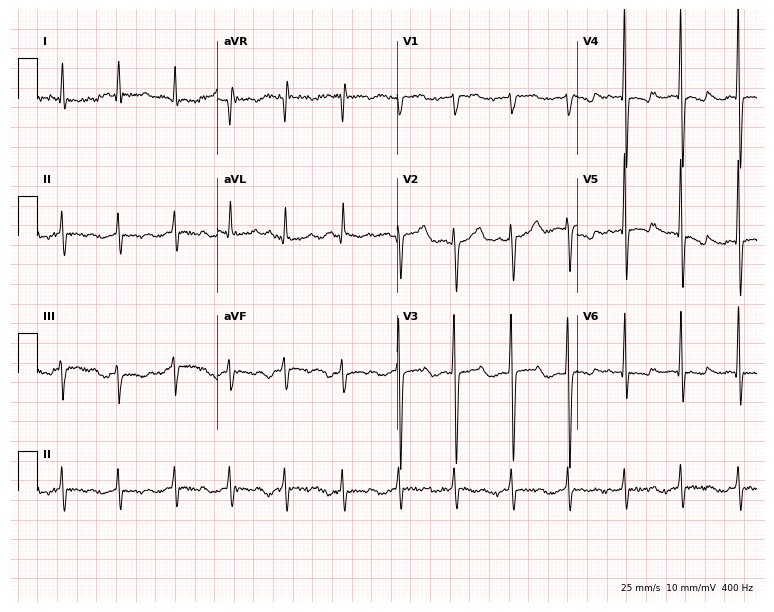
12-lead ECG from a male, 68 years old (7.3-second recording at 400 Hz). No first-degree AV block, right bundle branch block (RBBB), left bundle branch block (LBBB), sinus bradycardia, atrial fibrillation (AF) or sinus tachycardia recorded for this tracing. Other findings, if any, are not listed.